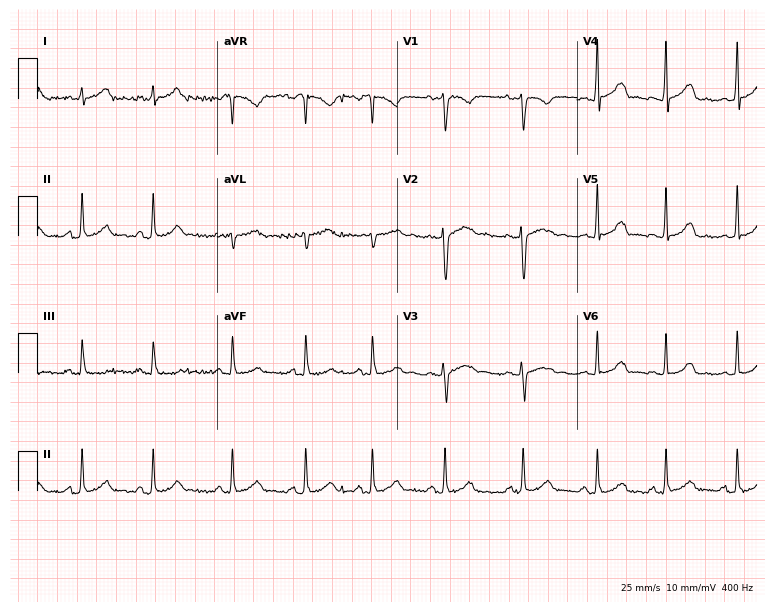
ECG — a female, 24 years old. Screened for six findings — first-degree AV block, right bundle branch block (RBBB), left bundle branch block (LBBB), sinus bradycardia, atrial fibrillation (AF), sinus tachycardia — none is recorded. Findings outside these six are not listed.